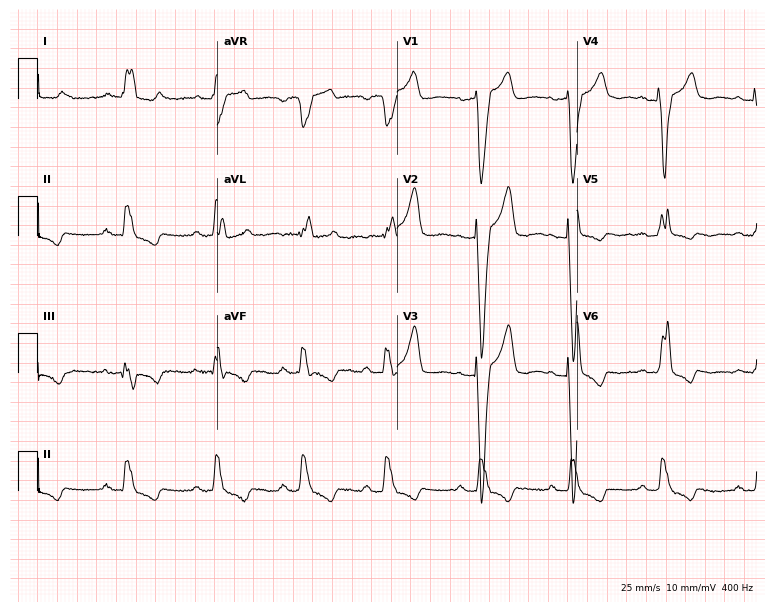
Standard 12-lead ECG recorded from a 73-year-old female patient (7.3-second recording at 400 Hz). The tracing shows left bundle branch block.